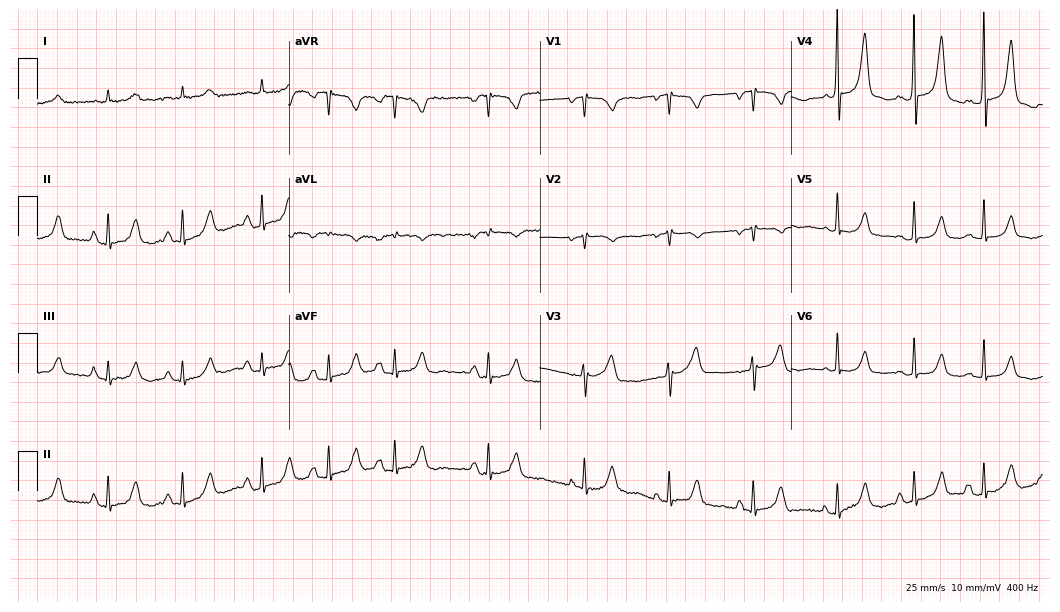
ECG — a 77-year-old woman. Screened for six findings — first-degree AV block, right bundle branch block (RBBB), left bundle branch block (LBBB), sinus bradycardia, atrial fibrillation (AF), sinus tachycardia — none is recorded. Other findings, if any, are not listed.